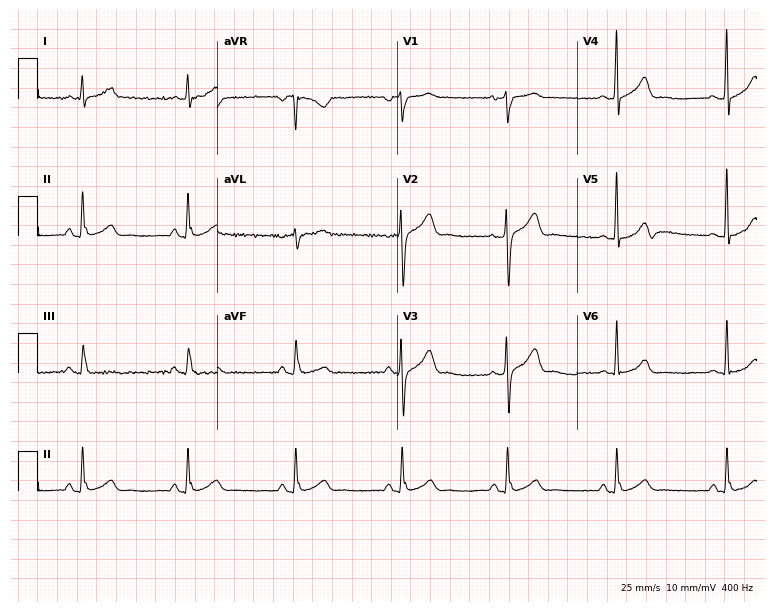
12-lead ECG from a 50-year-old man (7.3-second recording at 400 Hz). Recorded interpretation: within normal limits.